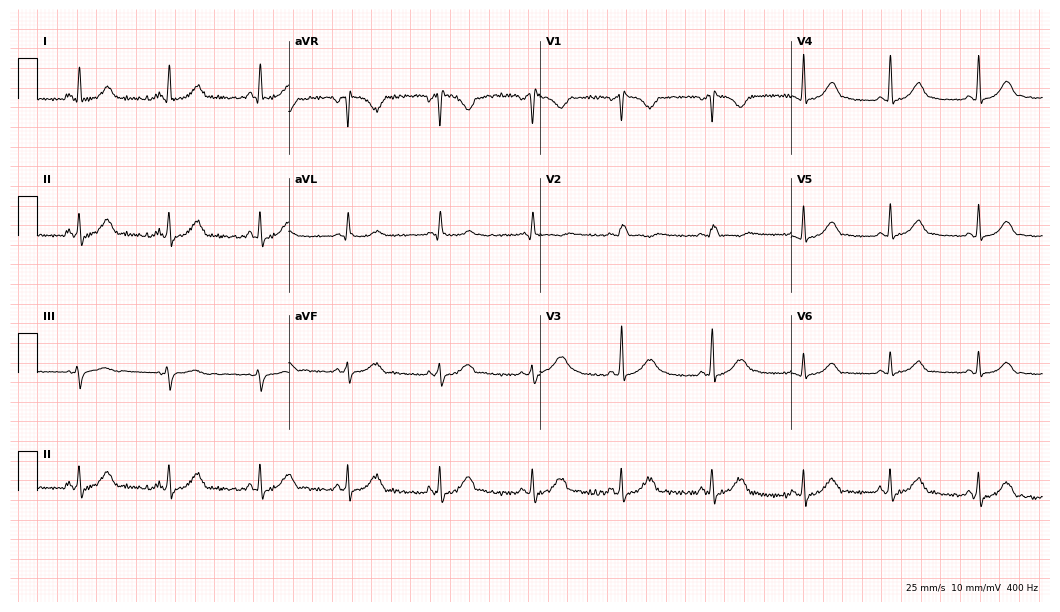
12-lead ECG (10.2-second recording at 400 Hz) from a female patient, 29 years old. Labelled as a normal ECG.